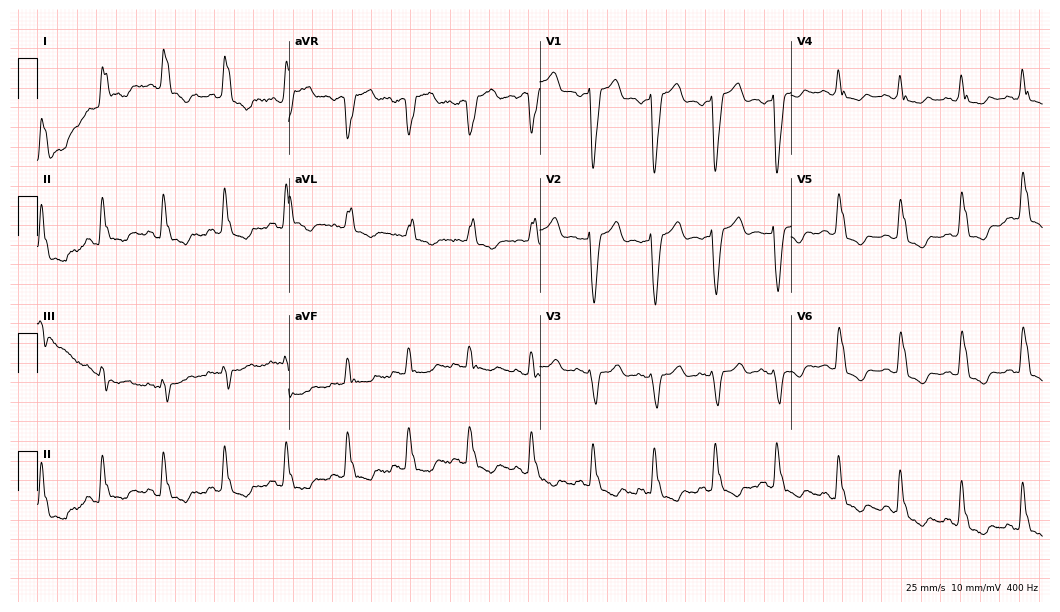
Electrocardiogram, a 76-year-old woman. Of the six screened findings (first-degree AV block, right bundle branch block, left bundle branch block, sinus bradycardia, atrial fibrillation, sinus tachycardia), none is recorded. Other findings, if any, are not listed.